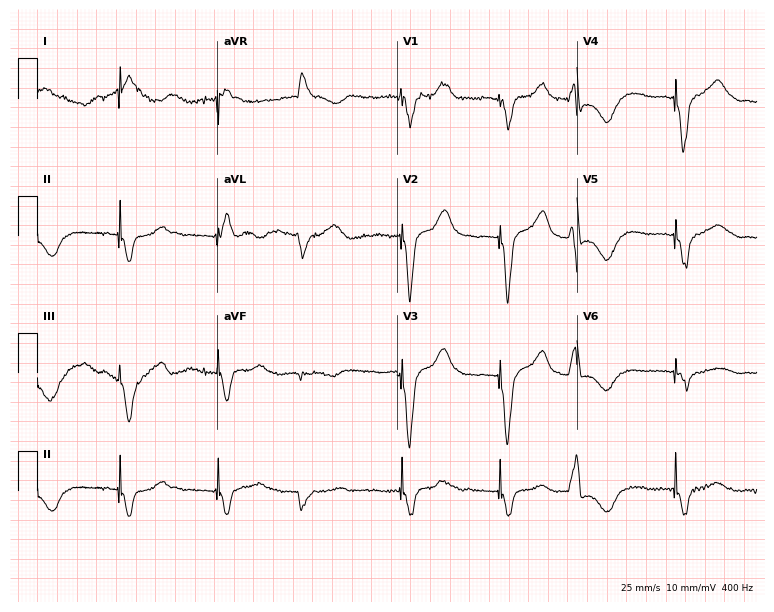
12-lead ECG from a male, 80 years old. Screened for six findings — first-degree AV block, right bundle branch block, left bundle branch block, sinus bradycardia, atrial fibrillation, sinus tachycardia — none is recorded.